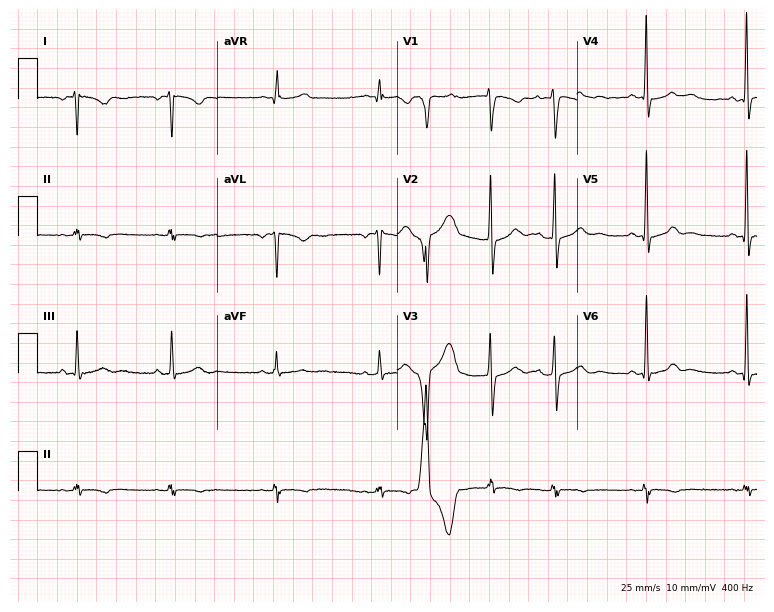
Standard 12-lead ECG recorded from a 46-year-old female (7.3-second recording at 400 Hz). None of these six findings is recorded: first-degree AV block, right bundle branch block, left bundle branch block, sinus bradycardia, atrial fibrillation, sinus tachycardia. Only these six findings were labelled.